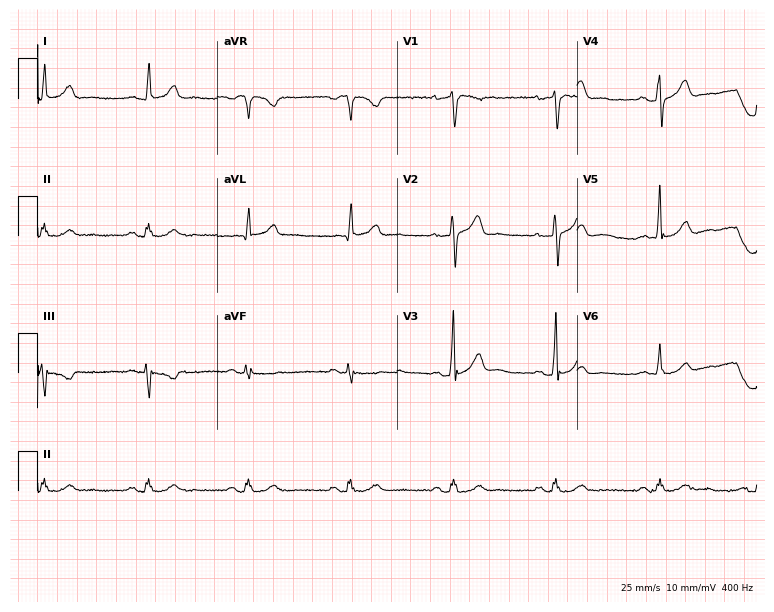
12-lead ECG from a male, 56 years old (7.3-second recording at 400 Hz). Recorded interpretation: within normal limits.